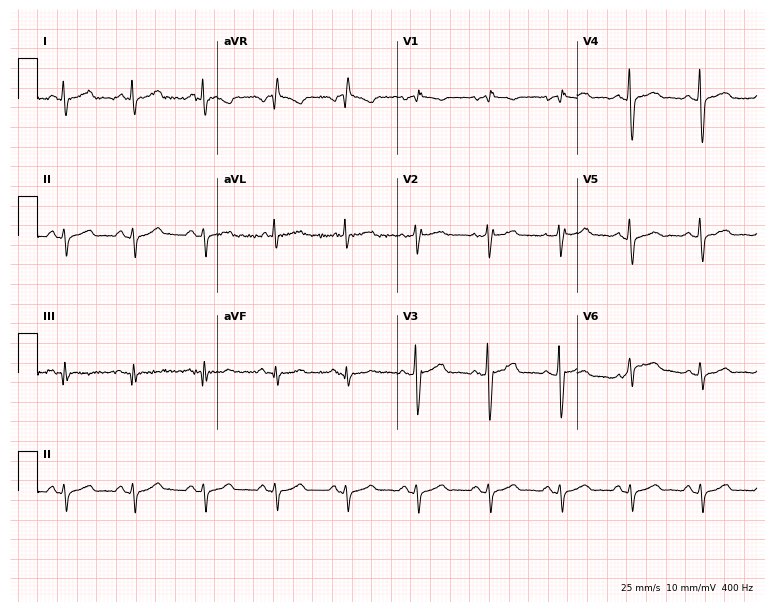
Standard 12-lead ECG recorded from a woman, 62 years old (7.3-second recording at 400 Hz). None of these six findings is recorded: first-degree AV block, right bundle branch block, left bundle branch block, sinus bradycardia, atrial fibrillation, sinus tachycardia.